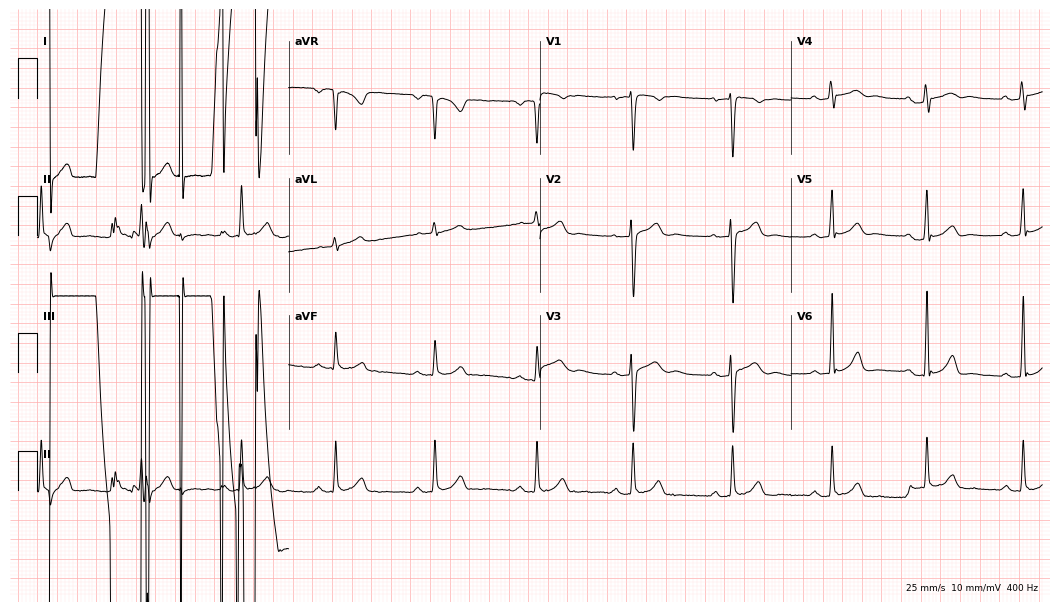
ECG (10.2-second recording at 400 Hz) — a 41-year-old male. Screened for six findings — first-degree AV block, right bundle branch block, left bundle branch block, sinus bradycardia, atrial fibrillation, sinus tachycardia — none is recorded.